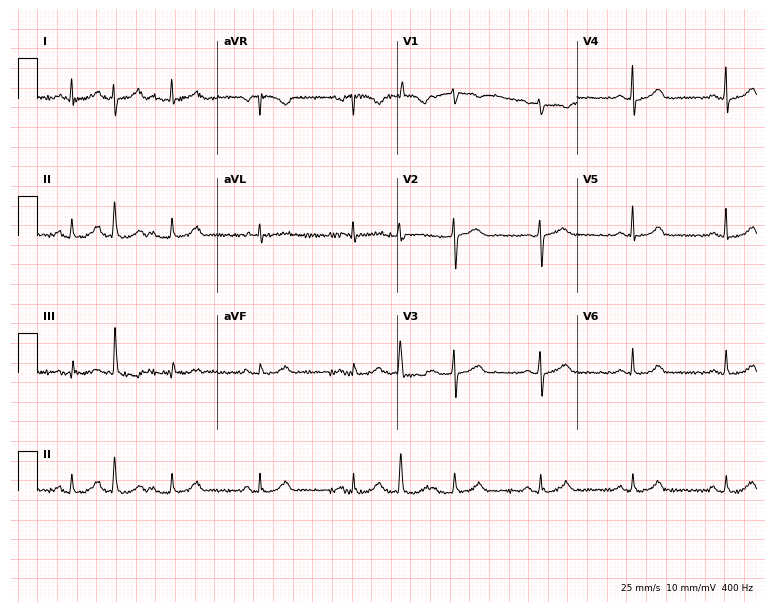
Electrocardiogram (7.3-second recording at 400 Hz), a woman, 60 years old. Of the six screened findings (first-degree AV block, right bundle branch block (RBBB), left bundle branch block (LBBB), sinus bradycardia, atrial fibrillation (AF), sinus tachycardia), none is recorded.